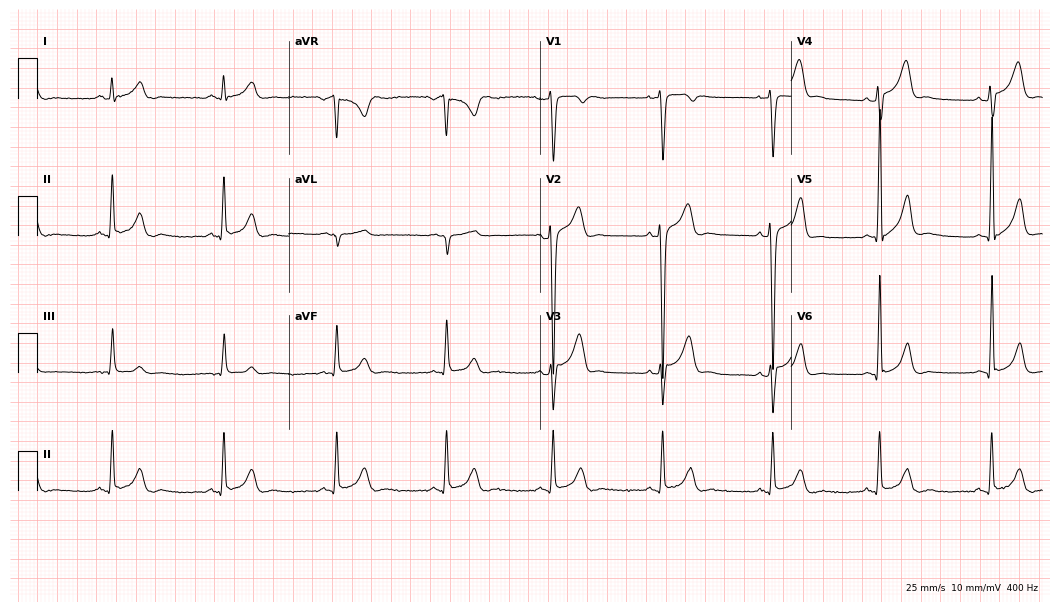
Standard 12-lead ECG recorded from a male, 27 years old. None of these six findings is recorded: first-degree AV block, right bundle branch block, left bundle branch block, sinus bradycardia, atrial fibrillation, sinus tachycardia.